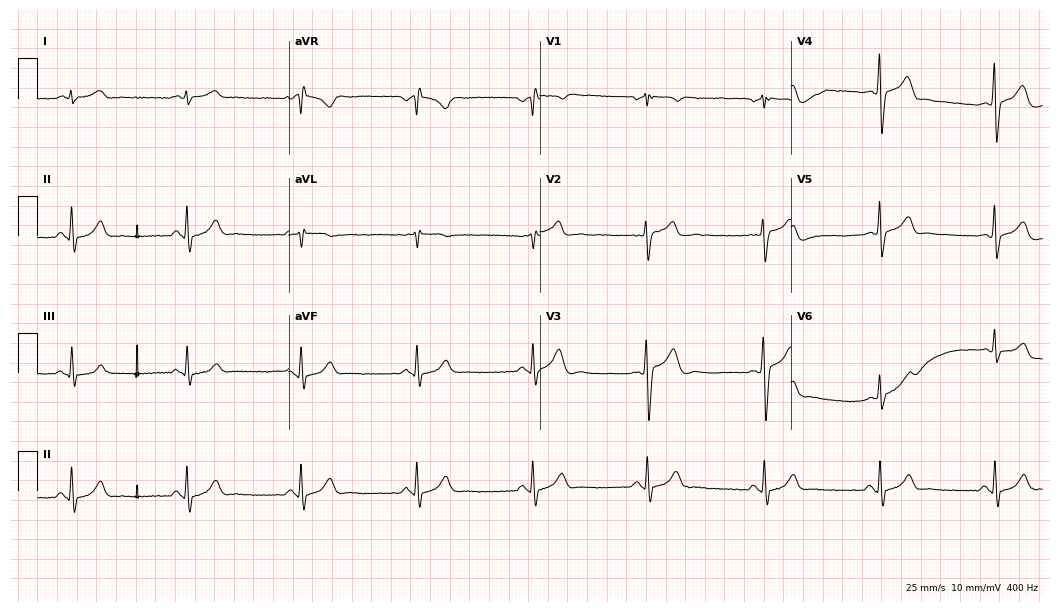
12-lead ECG from a 54-year-old man. Screened for six findings — first-degree AV block, right bundle branch block (RBBB), left bundle branch block (LBBB), sinus bradycardia, atrial fibrillation (AF), sinus tachycardia — none is recorded.